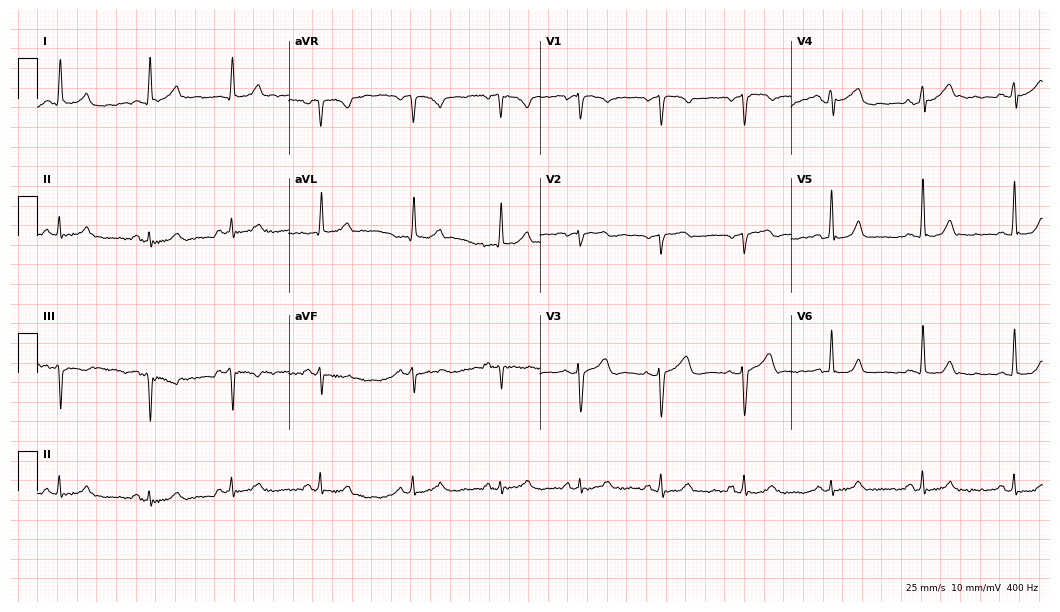
12-lead ECG (10.2-second recording at 400 Hz) from a 55-year-old female. Labelled as a normal ECG.